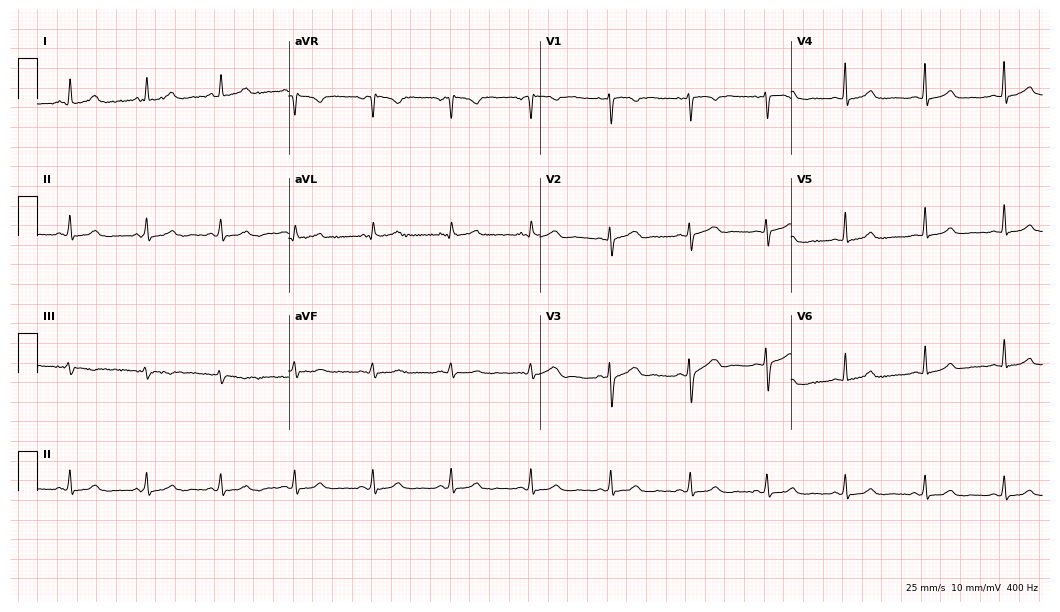
Resting 12-lead electrocardiogram. Patient: a 36-year-old female. Read as a normal ECG.